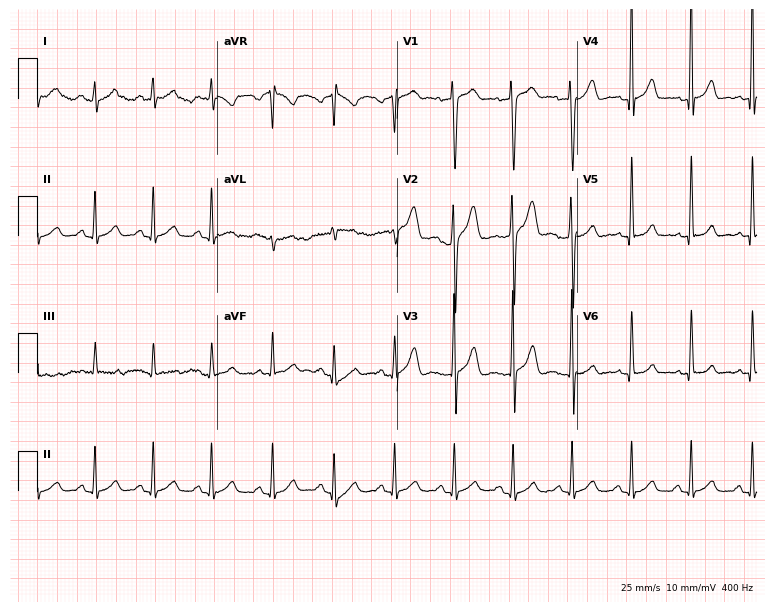
Electrocardiogram (7.3-second recording at 400 Hz), a 27-year-old male. Of the six screened findings (first-degree AV block, right bundle branch block, left bundle branch block, sinus bradycardia, atrial fibrillation, sinus tachycardia), none is recorded.